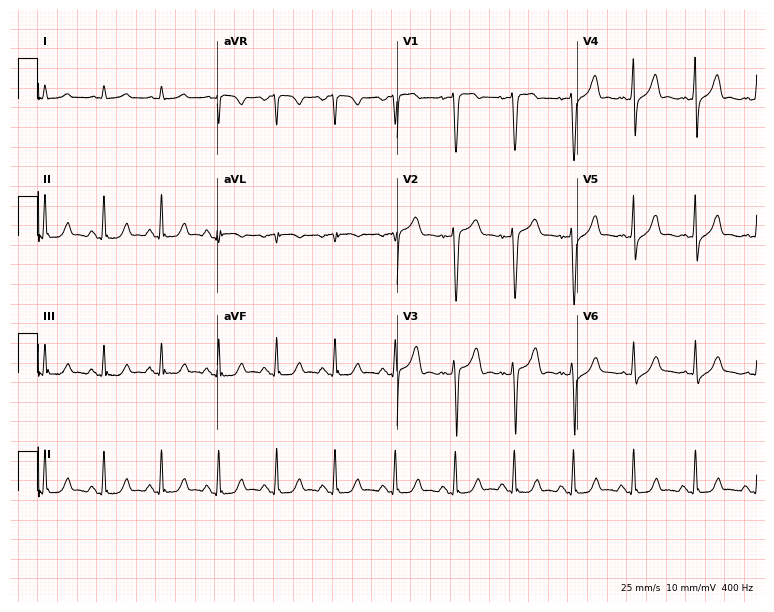
Resting 12-lead electrocardiogram (7.3-second recording at 400 Hz). Patient: a 46-year-old male. None of these six findings is recorded: first-degree AV block, right bundle branch block (RBBB), left bundle branch block (LBBB), sinus bradycardia, atrial fibrillation (AF), sinus tachycardia.